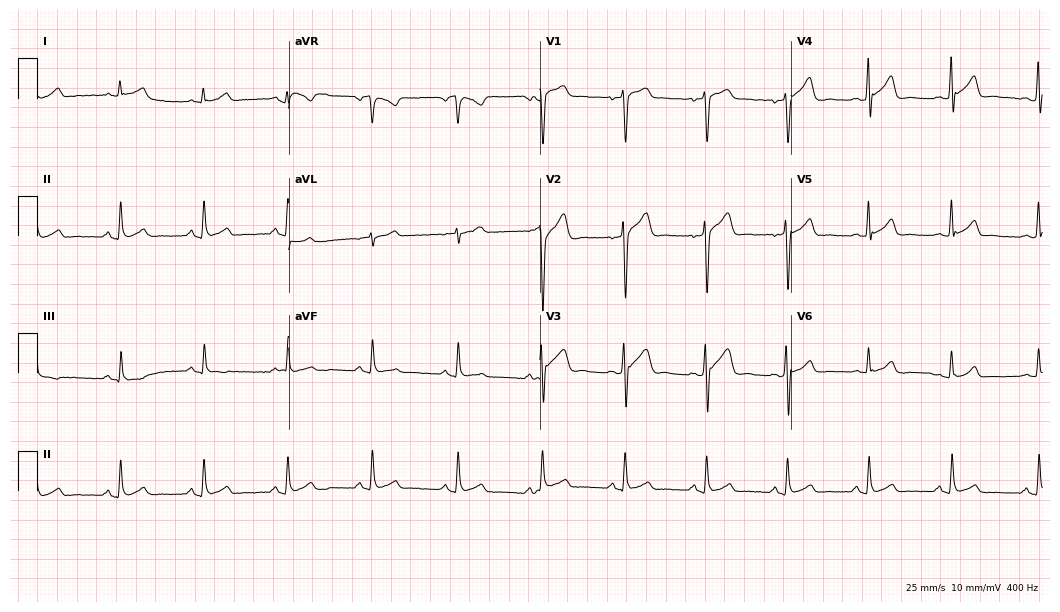
Electrocardiogram (10.2-second recording at 400 Hz), a 38-year-old man. Overall reading on record: normal ECG.